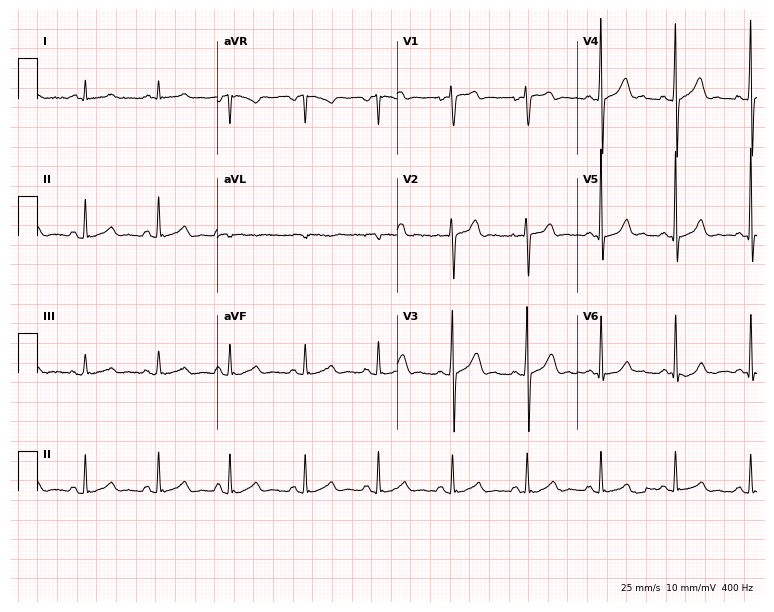
Resting 12-lead electrocardiogram (7.3-second recording at 400 Hz). Patient: a male, 46 years old. Read as a normal ECG.